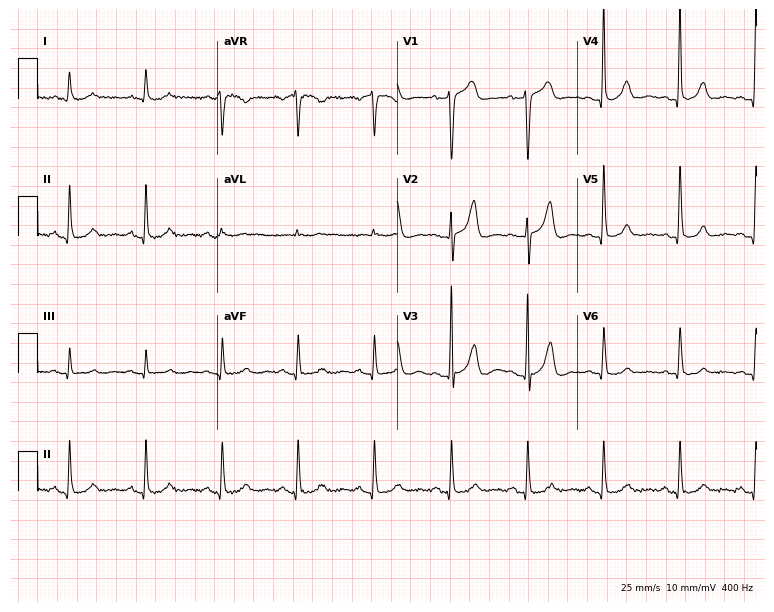
Electrocardiogram (7.3-second recording at 400 Hz), a male patient, 58 years old. Overall reading on record: normal ECG.